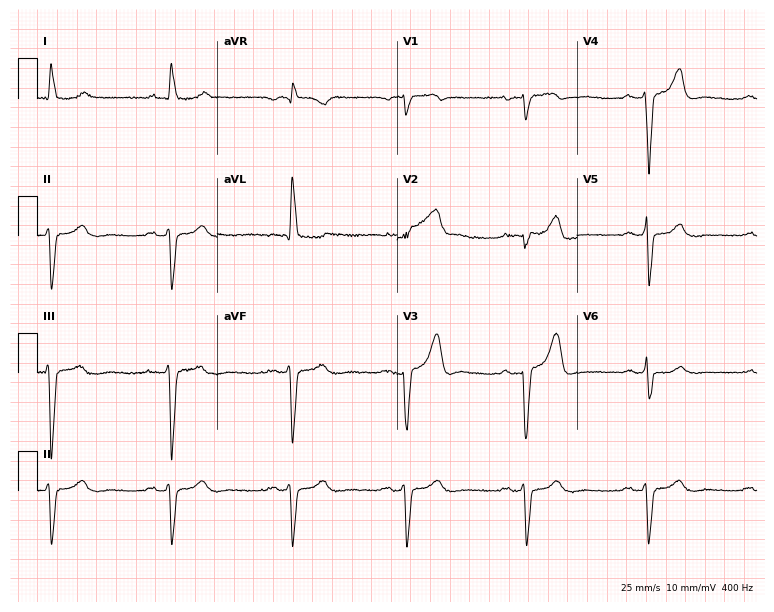
ECG (7.3-second recording at 400 Hz) — a male patient, 67 years old. Findings include left bundle branch block (LBBB), sinus bradycardia (a sinus rate of 50 beats per minute or less).